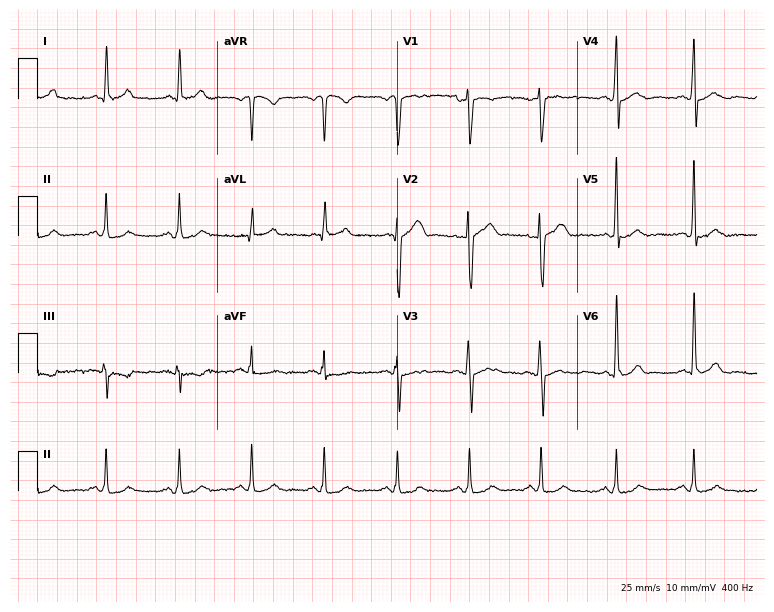
12-lead ECG from a 51-year-old man. No first-degree AV block, right bundle branch block (RBBB), left bundle branch block (LBBB), sinus bradycardia, atrial fibrillation (AF) or sinus tachycardia recorded for this tracing. Only these six findings were labelled.